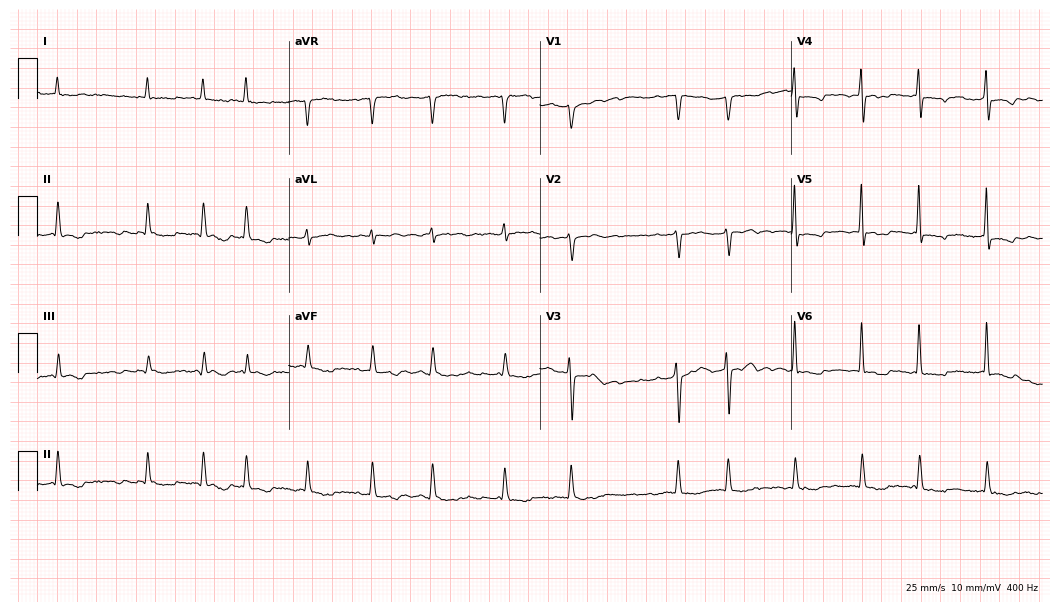
12-lead ECG (10.2-second recording at 400 Hz) from a 78-year-old female patient. Findings include atrial fibrillation.